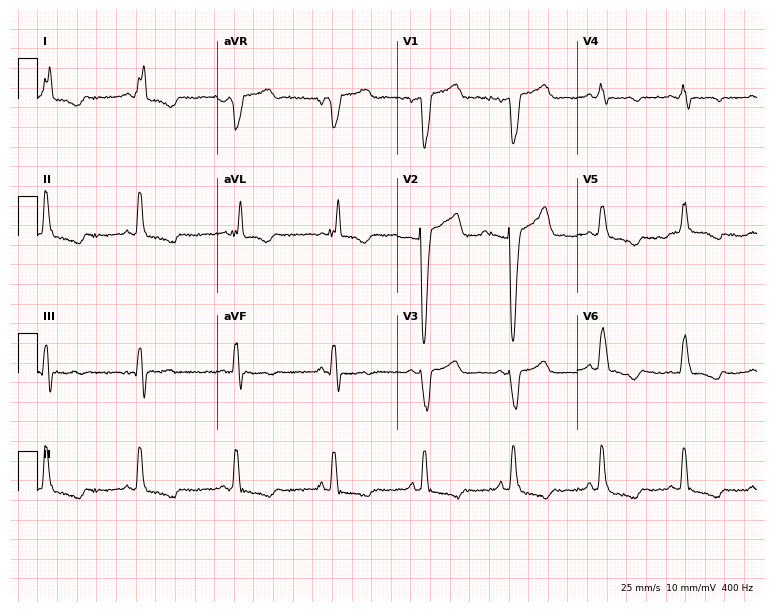
12-lead ECG (7.3-second recording at 400 Hz) from a female, 88 years old. Findings include left bundle branch block.